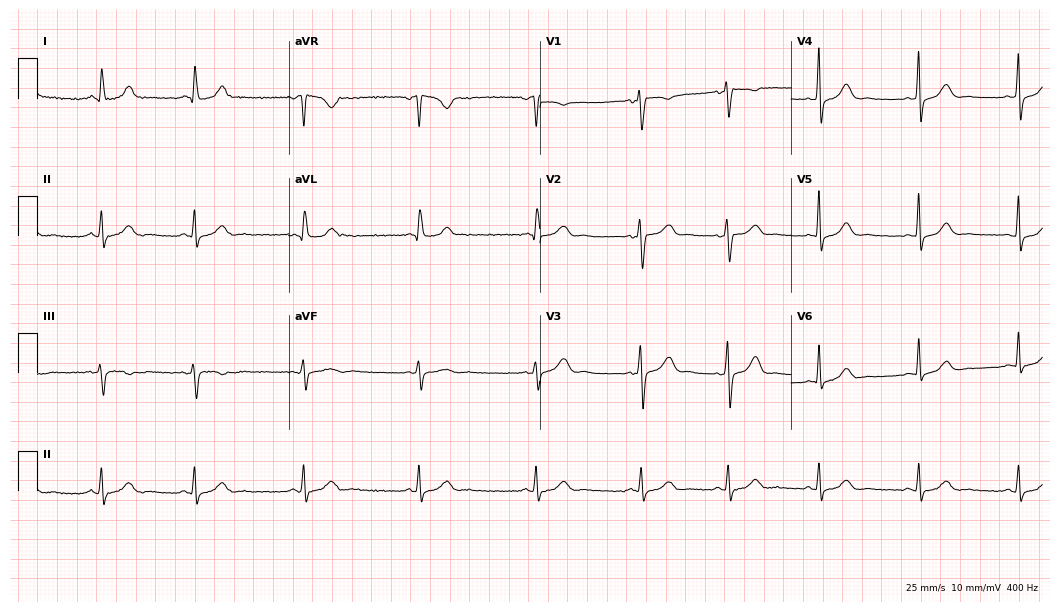
Resting 12-lead electrocardiogram (10.2-second recording at 400 Hz). Patient: a female, 47 years old. None of these six findings is recorded: first-degree AV block, right bundle branch block (RBBB), left bundle branch block (LBBB), sinus bradycardia, atrial fibrillation (AF), sinus tachycardia. Findings outside these six are not listed.